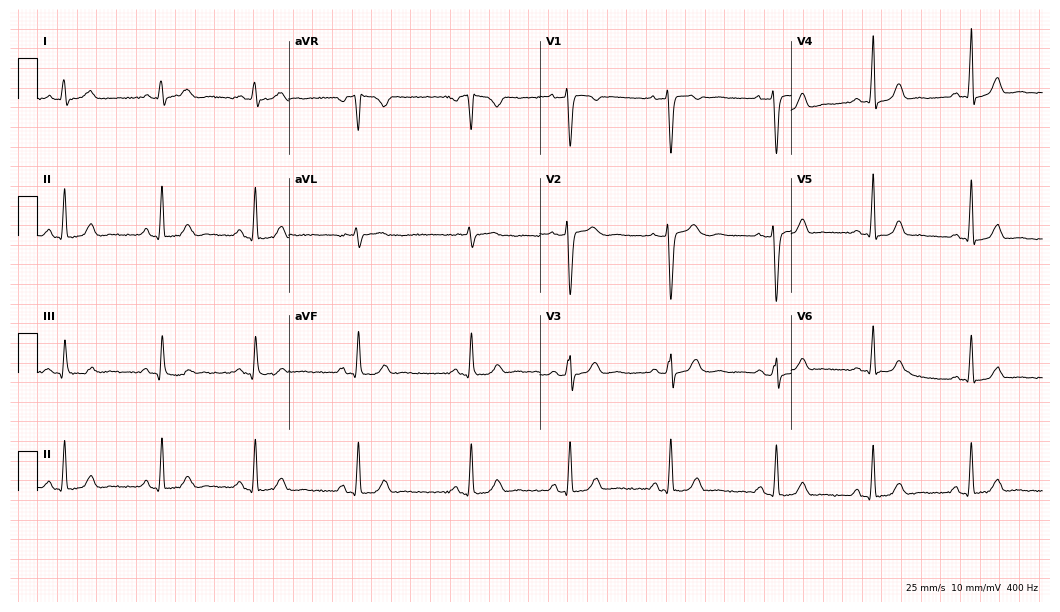
ECG (10.2-second recording at 400 Hz) — a female patient, 32 years old. Labelled as a normal ECG.